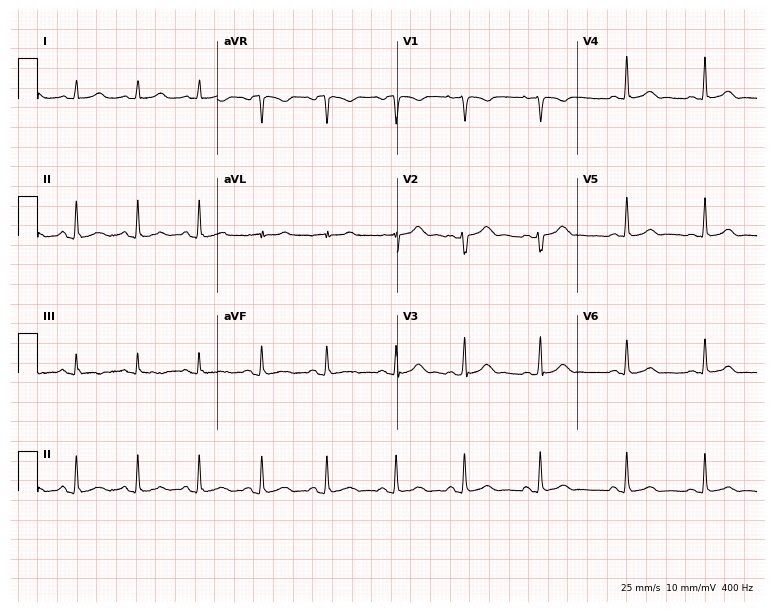
12-lead ECG from a female, 38 years old. No first-degree AV block, right bundle branch block, left bundle branch block, sinus bradycardia, atrial fibrillation or sinus tachycardia recorded for this tracing.